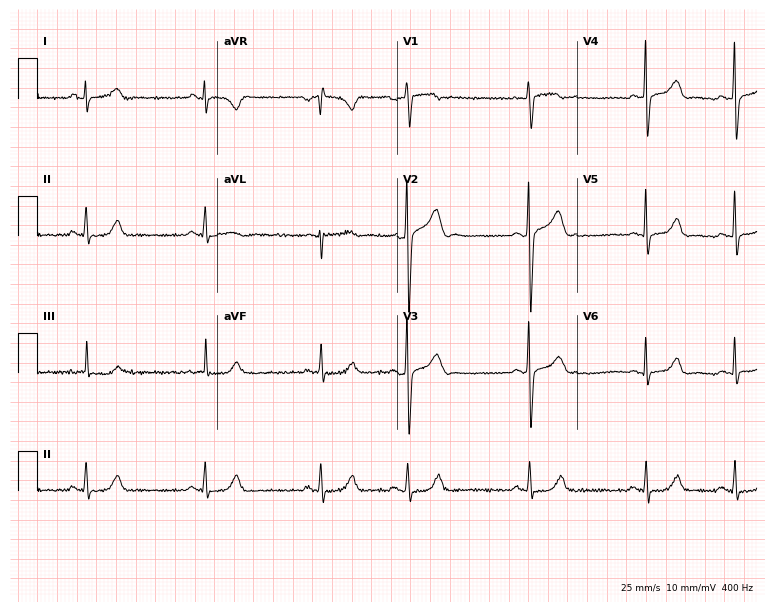
Standard 12-lead ECG recorded from a female, 21 years old (7.3-second recording at 400 Hz). Read as a normal ECG.